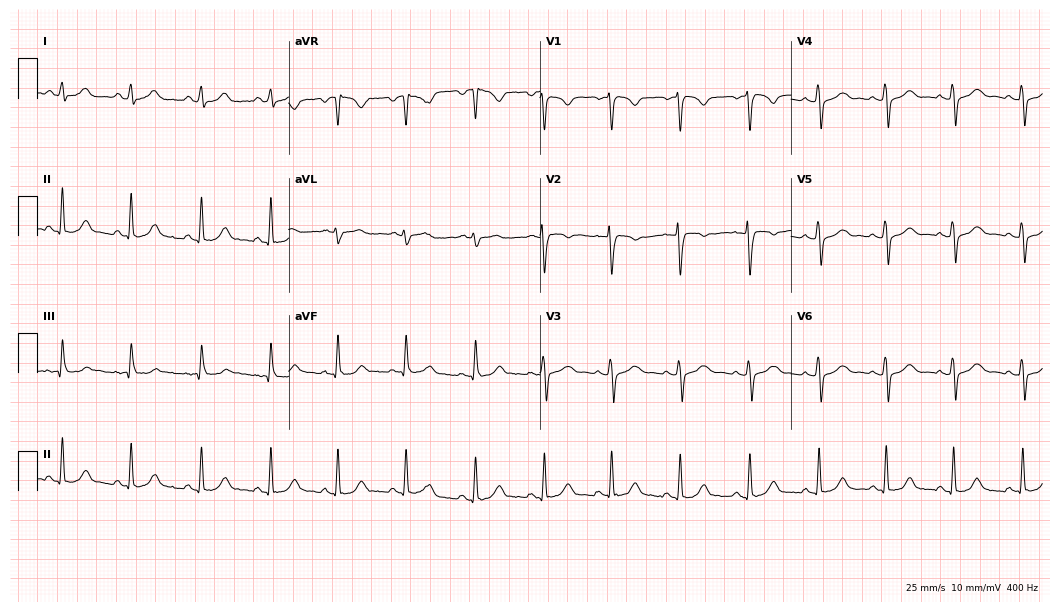
12-lead ECG from a 28-year-old female. Screened for six findings — first-degree AV block, right bundle branch block, left bundle branch block, sinus bradycardia, atrial fibrillation, sinus tachycardia — none is recorded.